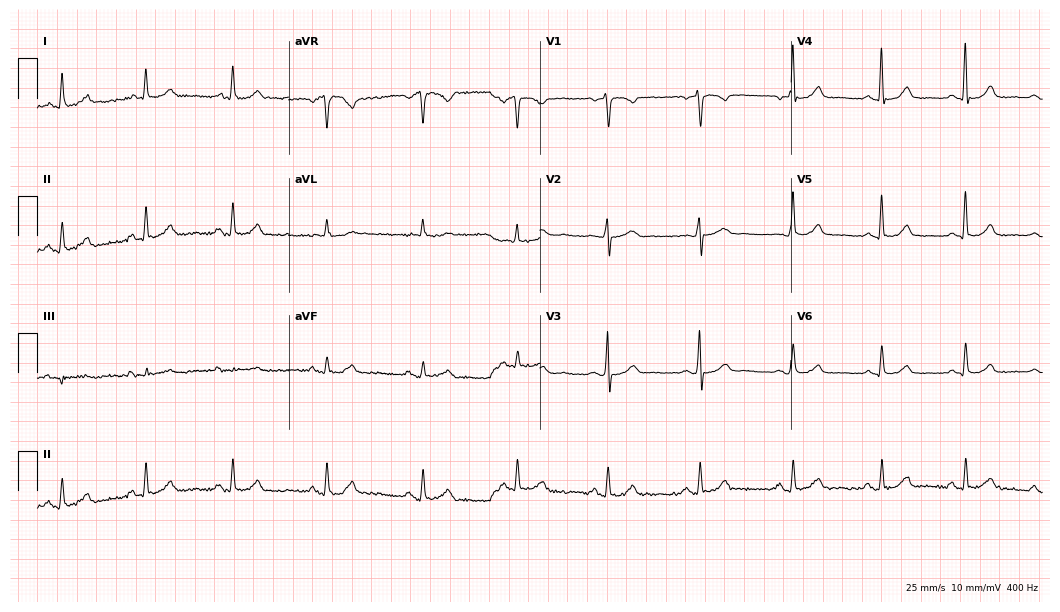
ECG (10.2-second recording at 400 Hz) — a female patient, 57 years old. Labelled as a normal ECG.